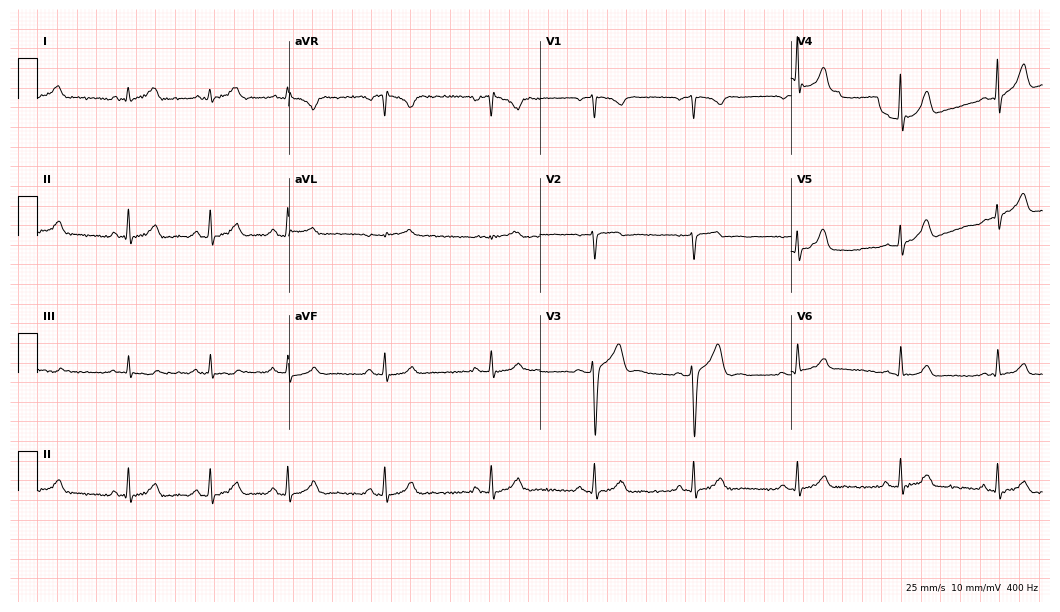
12-lead ECG from a 25-year-old man. Screened for six findings — first-degree AV block, right bundle branch block, left bundle branch block, sinus bradycardia, atrial fibrillation, sinus tachycardia — none is recorded.